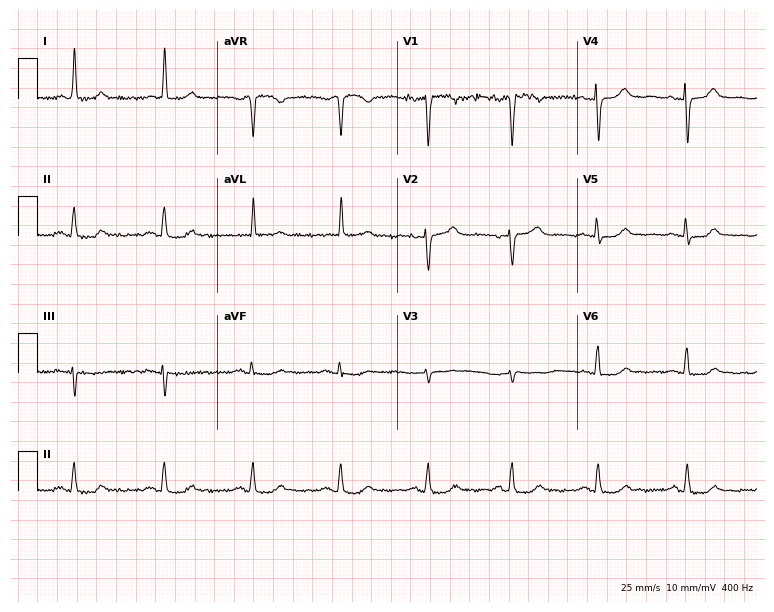
12-lead ECG from a 68-year-old female (7.3-second recording at 400 Hz). No first-degree AV block, right bundle branch block (RBBB), left bundle branch block (LBBB), sinus bradycardia, atrial fibrillation (AF) or sinus tachycardia recorded for this tracing. Only these six findings were labelled.